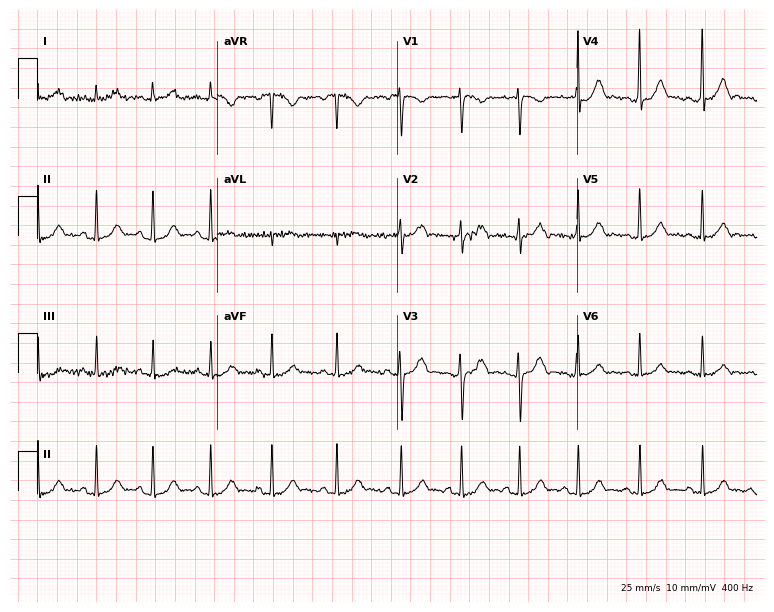
12-lead ECG from a female patient, 20 years old. Screened for six findings — first-degree AV block, right bundle branch block (RBBB), left bundle branch block (LBBB), sinus bradycardia, atrial fibrillation (AF), sinus tachycardia — none is recorded. Only these six findings were labelled.